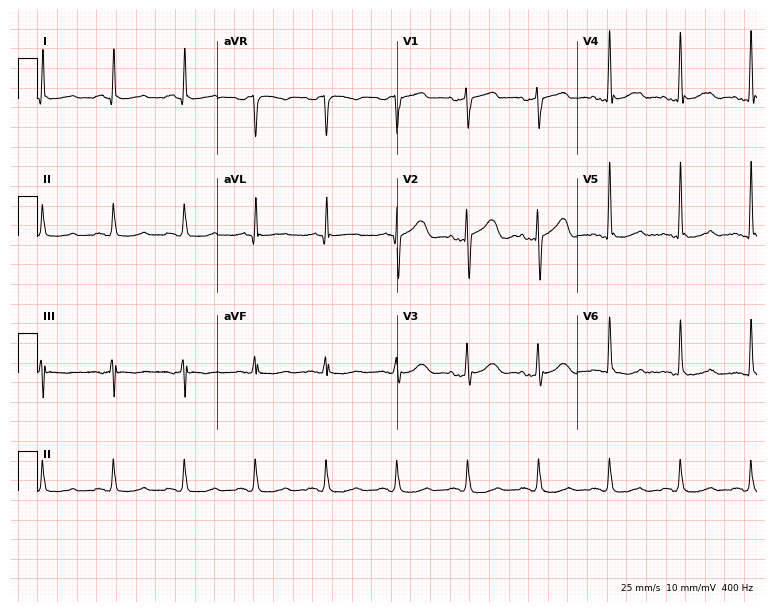
ECG — a male, 57 years old. Screened for six findings — first-degree AV block, right bundle branch block (RBBB), left bundle branch block (LBBB), sinus bradycardia, atrial fibrillation (AF), sinus tachycardia — none is recorded. Only these six findings were labelled.